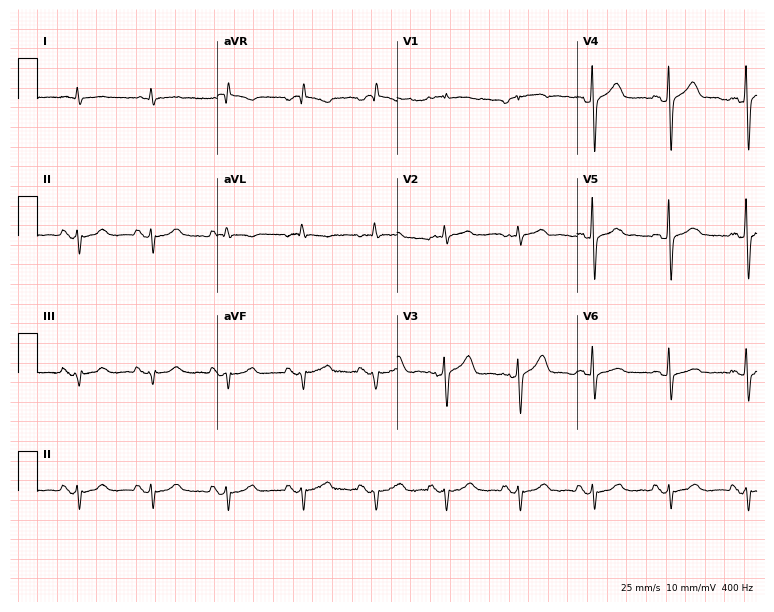
ECG — a male patient, 76 years old. Screened for six findings — first-degree AV block, right bundle branch block, left bundle branch block, sinus bradycardia, atrial fibrillation, sinus tachycardia — none is recorded.